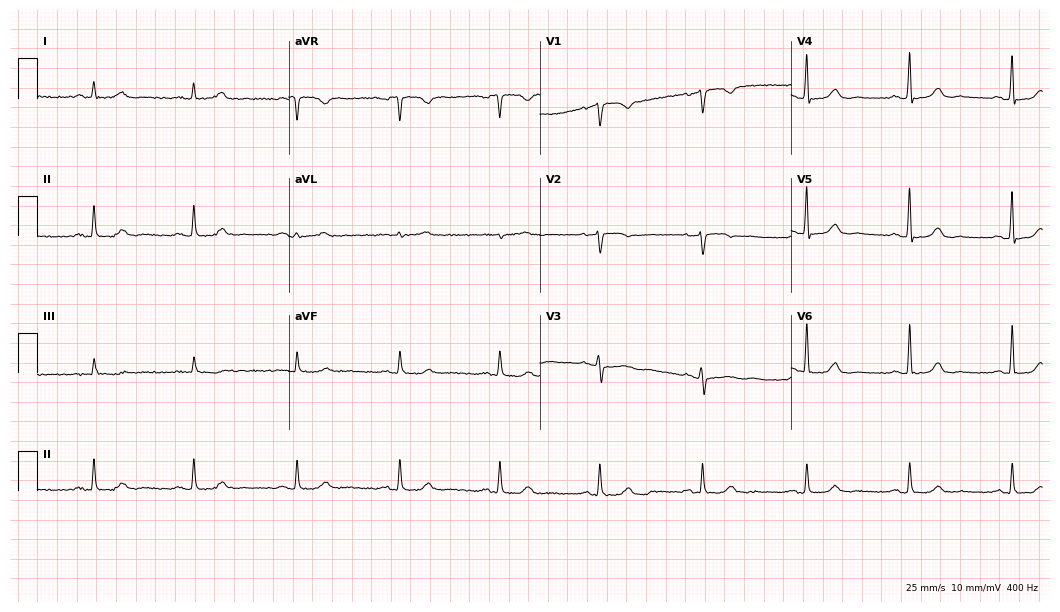
Resting 12-lead electrocardiogram (10.2-second recording at 400 Hz). Patient: a 73-year-old woman. Read as a normal ECG.